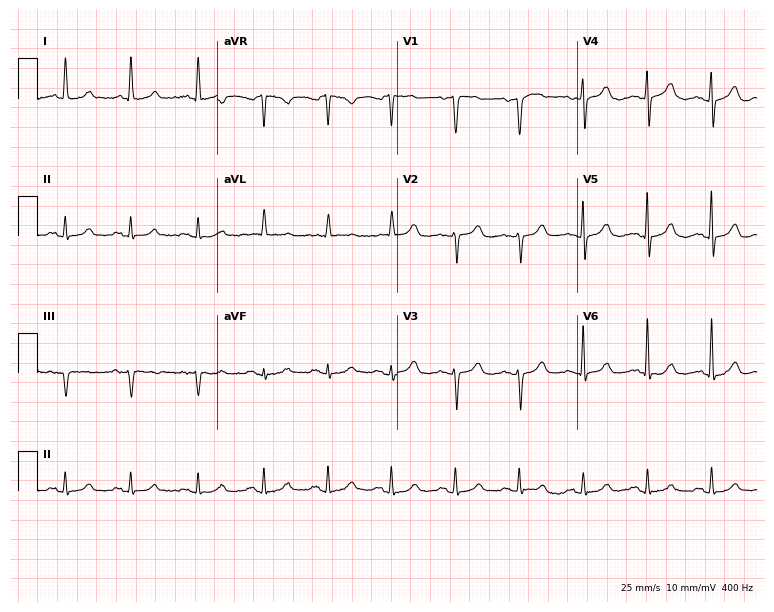
Resting 12-lead electrocardiogram (7.3-second recording at 400 Hz). Patient: an 83-year-old woman. Read as a normal ECG.